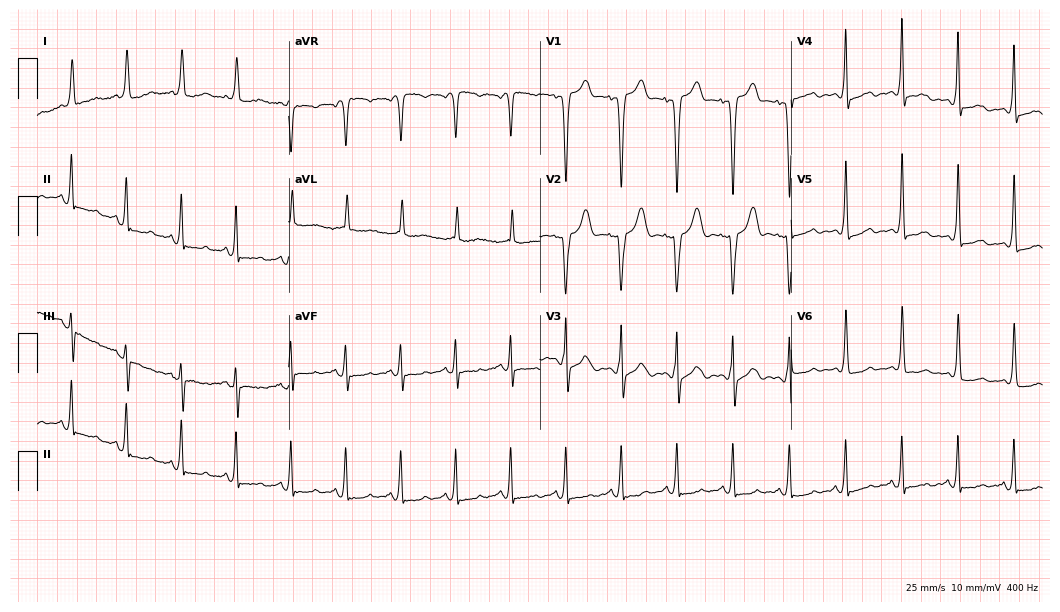
Resting 12-lead electrocardiogram. Patient: a 77-year-old female. None of these six findings is recorded: first-degree AV block, right bundle branch block (RBBB), left bundle branch block (LBBB), sinus bradycardia, atrial fibrillation (AF), sinus tachycardia.